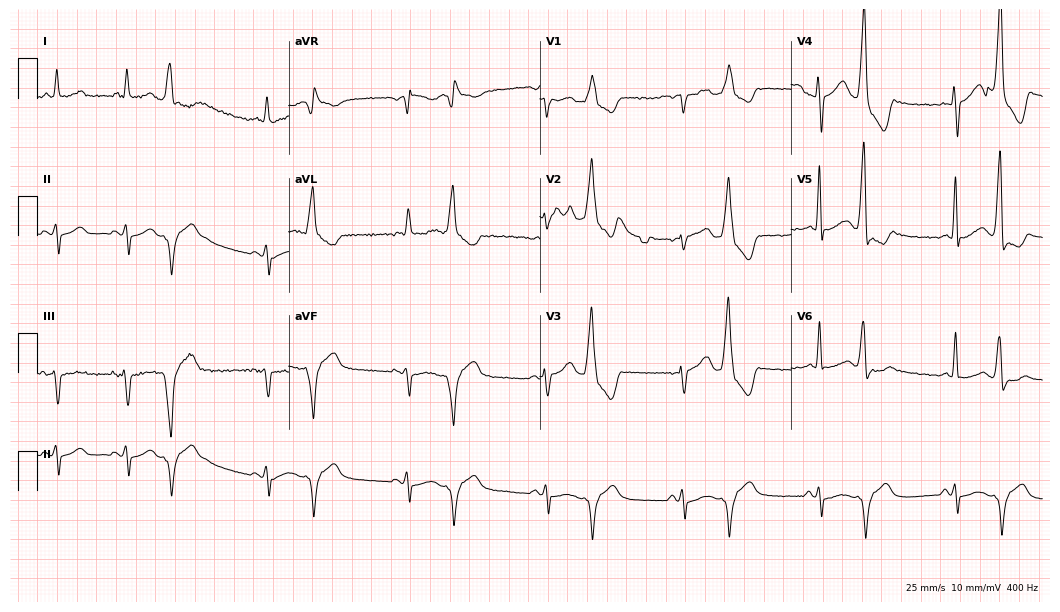
12-lead ECG from a man, 63 years old. Screened for six findings — first-degree AV block, right bundle branch block, left bundle branch block, sinus bradycardia, atrial fibrillation, sinus tachycardia — none is recorded. Other findings, if any, are not listed.